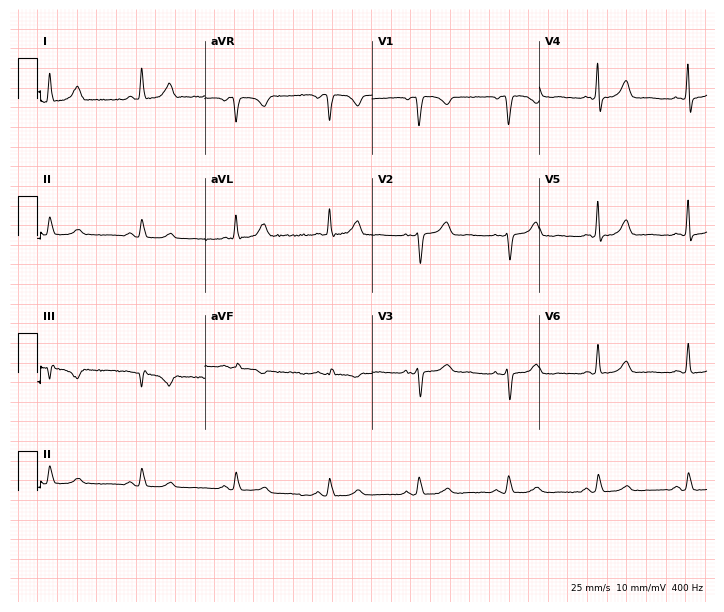
Resting 12-lead electrocardiogram. Patient: a 53-year-old female. Read as a normal ECG.